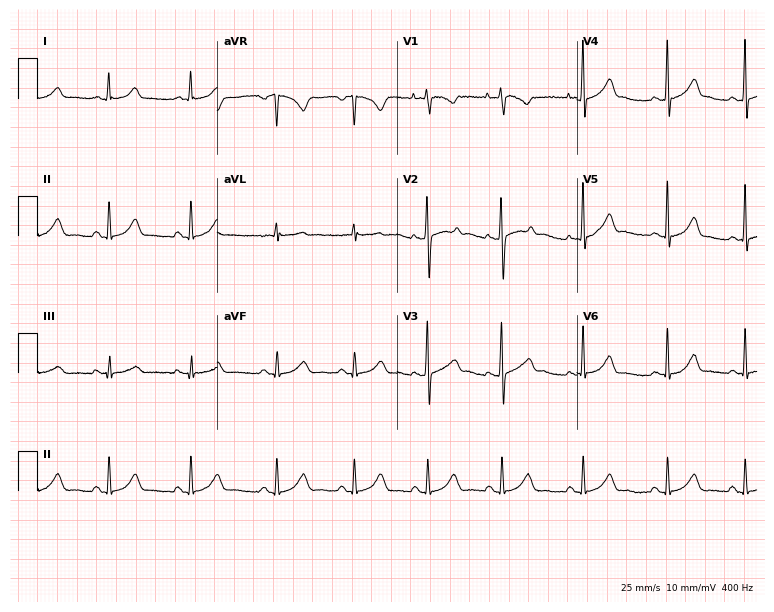
Resting 12-lead electrocardiogram. Patient: a 20-year-old woman. Read as a normal ECG.